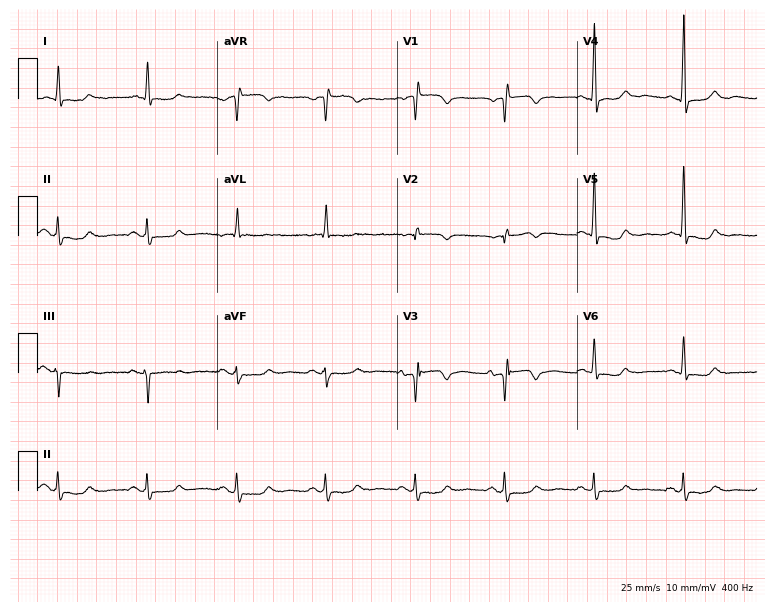
ECG — a female, 83 years old. Screened for six findings — first-degree AV block, right bundle branch block, left bundle branch block, sinus bradycardia, atrial fibrillation, sinus tachycardia — none is recorded.